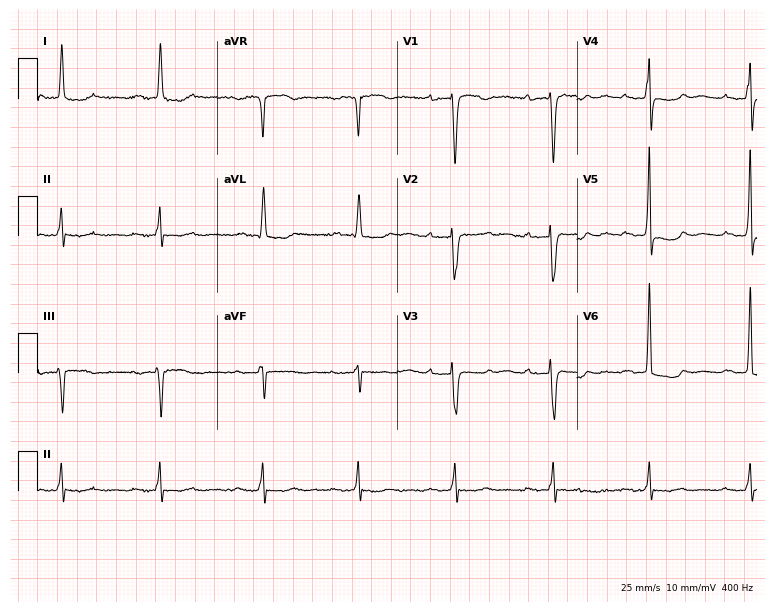
12-lead ECG from a female, 69 years old (7.3-second recording at 400 Hz). Shows first-degree AV block.